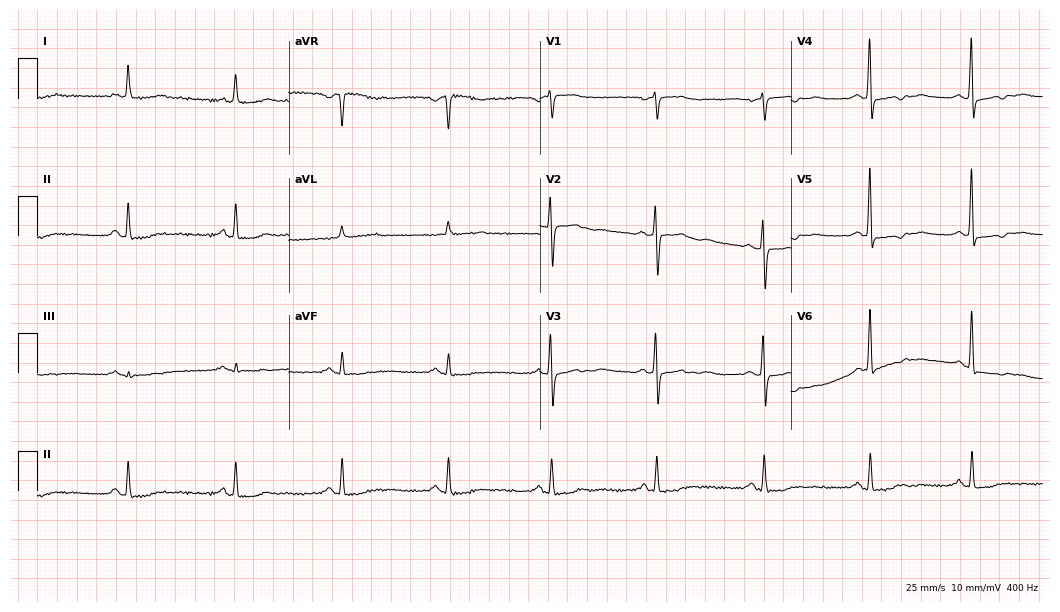
Electrocardiogram (10.2-second recording at 400 Hz), a woman, 81 years old. Of the six screened findings (first-degree AV block, right bundle branch block, left bundle branch block, sinus bradycardia, atrial fibrillation, sinus tachycardia), none is recorded.